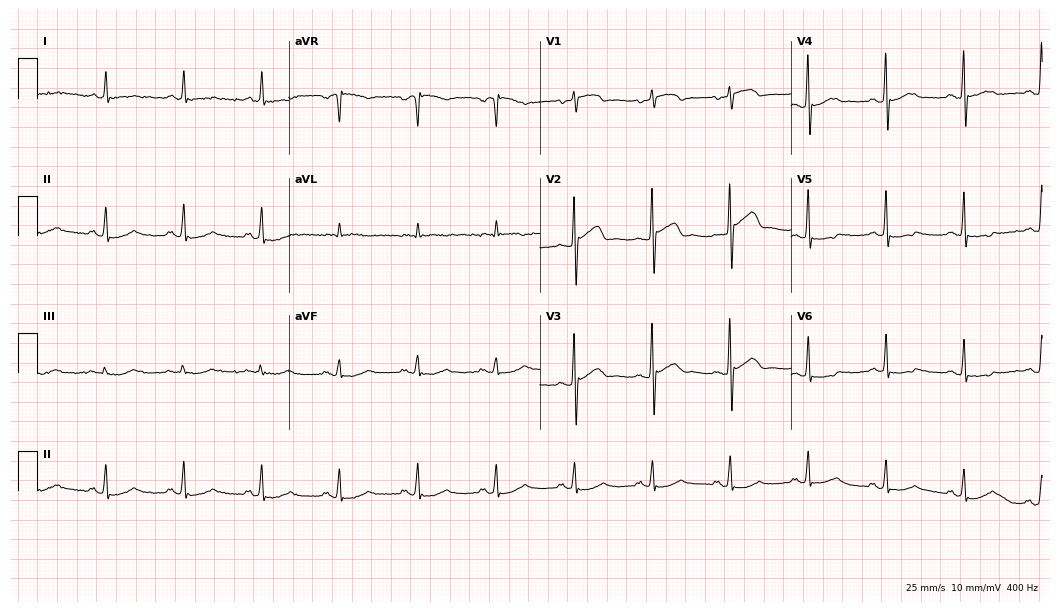
Electrocardiogram (10.2-second recording at 400 Hz), a male patient, 75 years old. Overall reading on record: normal ECG.